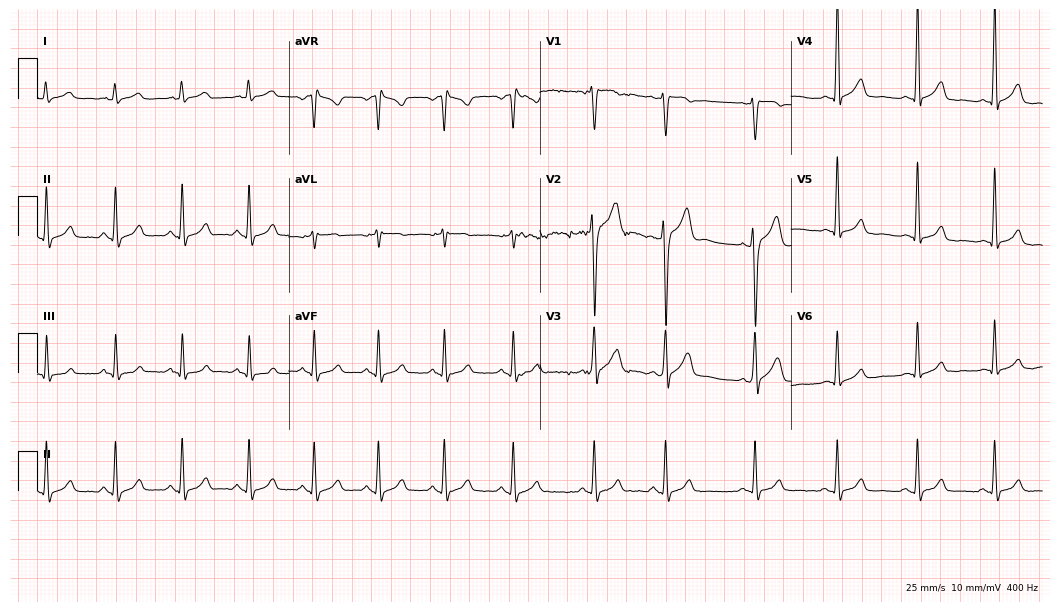
Standard 12-lead ECG recorded from a man, 32 years old. Read as a normal ECG.